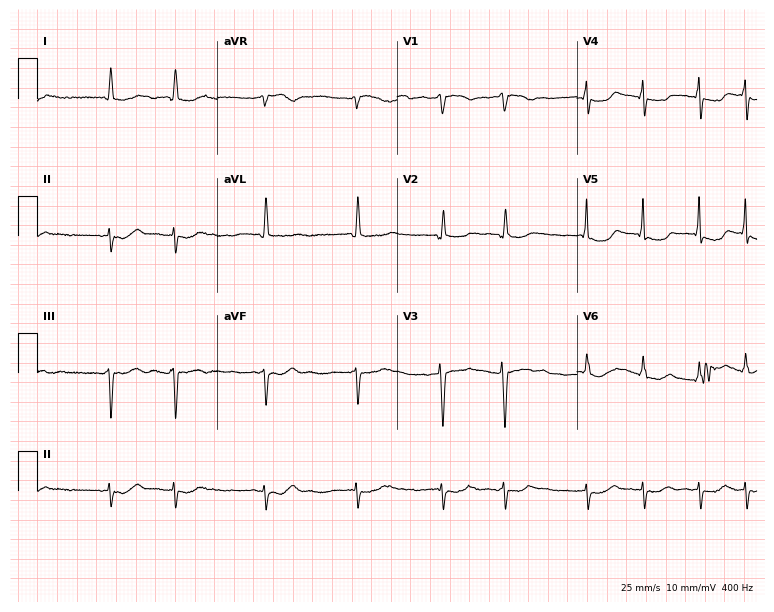
Electrocardiogram (7.3-second recording at 400 Hz), a female, 64 years old. Interpretation includes atrial fibrillation (AF).